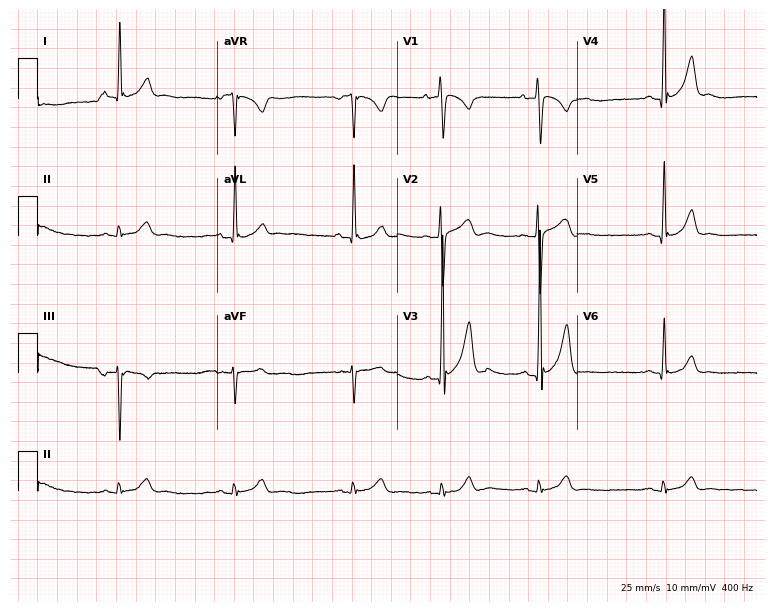
Standard 12-lead ECG recorded from an 18-year-old man (7.3-second recording at 400 Hz). Read as a normal ECG.